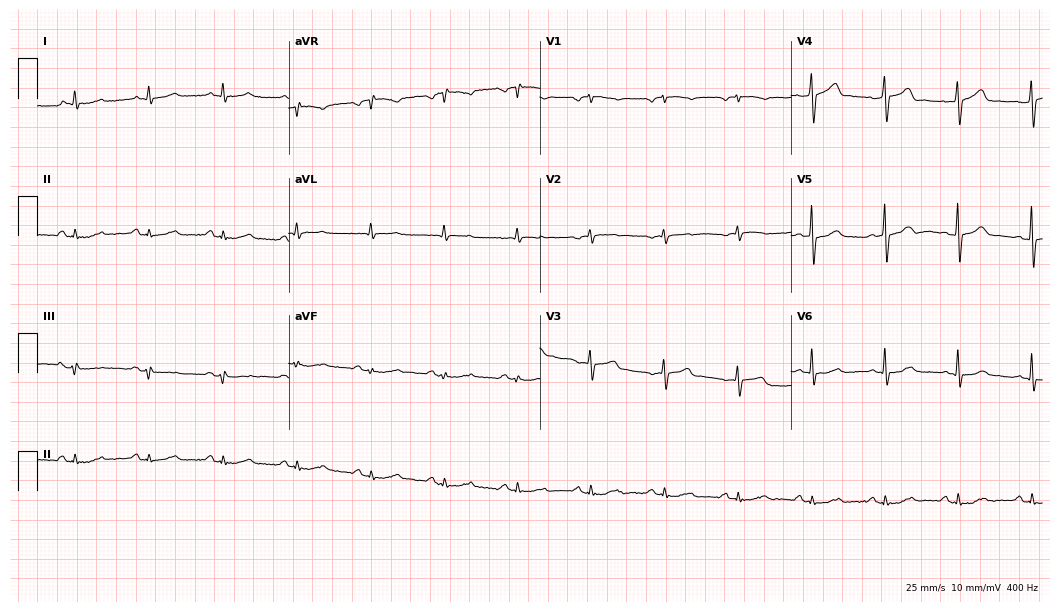
12-lead ECG from a female patient, 63 years old. No first-degree AV block, right bundle branch block, left bundle branch block, sinus bradycardia, atrial fibrillation or sinus tachycardia recorded for this tracing.